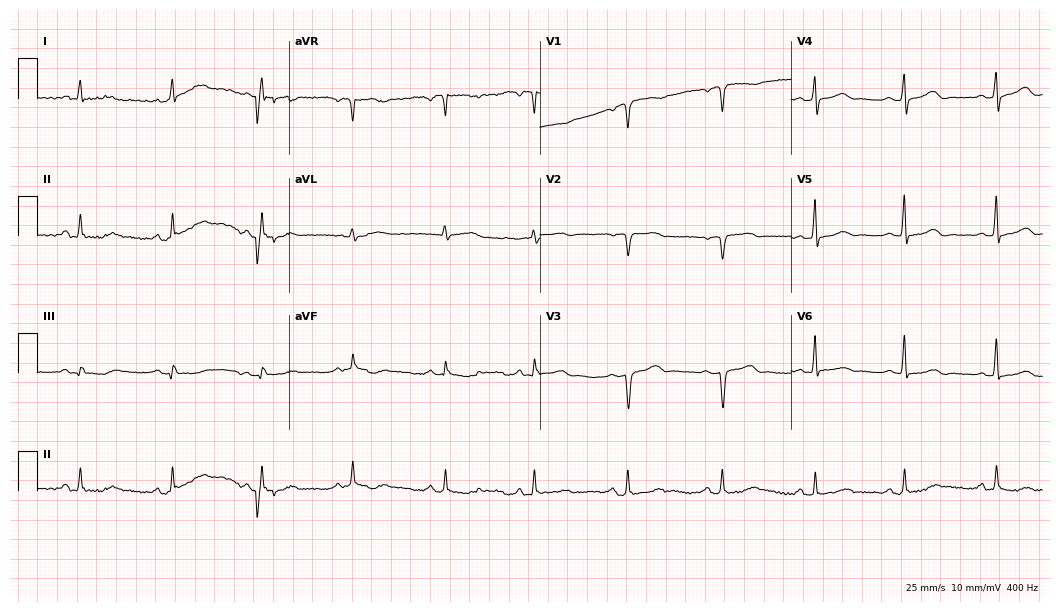
Standard 12-lead ECG recorded from a woman, 80 years old. None of these six findings is recorded: first-degree AV block, right bundle branch block, left bundle branch block, sinus bradycardia, atrial fibrillation, sinus tachycardia.